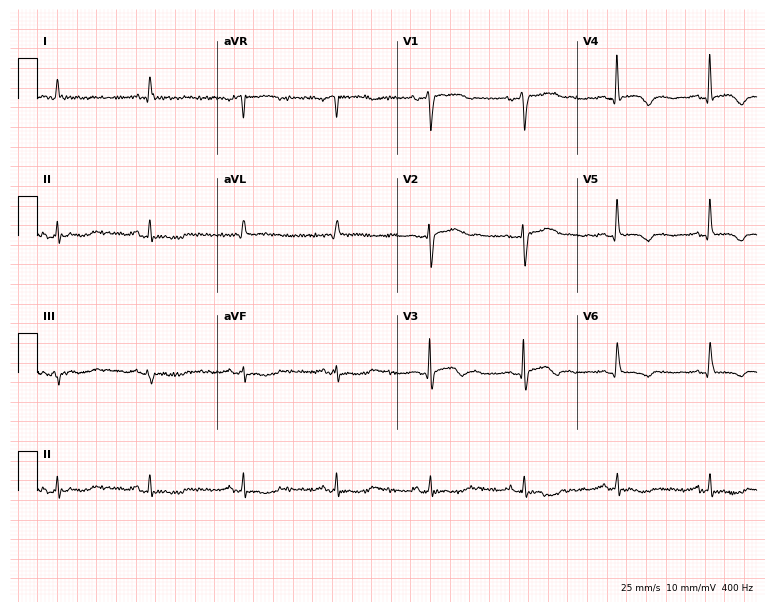
ECG — a 58-year-old female patient. Screened for six findings — first-degree AV block, right bundle branch block, left bundle branch block, sinus bradycardia, atrial fibrillation, sinus tachycardia — none is recorded. Other findings, if any, are not listed.